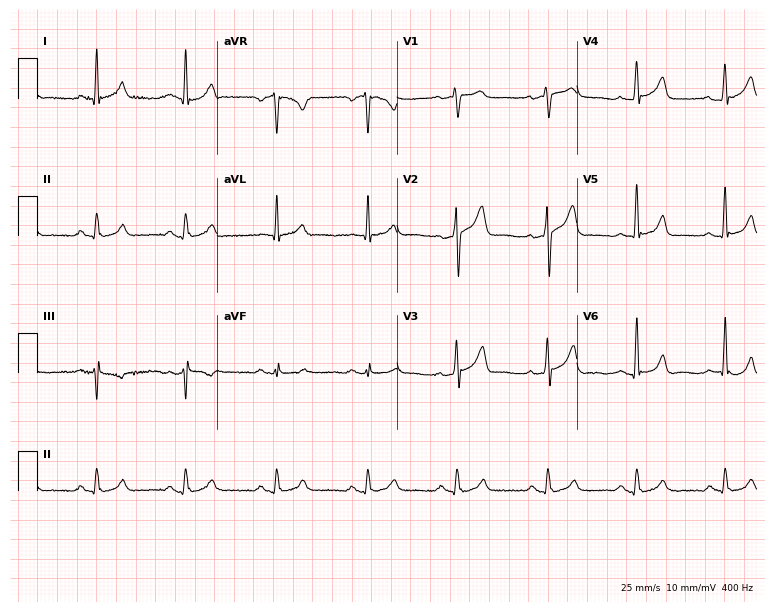
Standard 12-lead ECG recorded from a man, 53 years old. Read as a normal ECG.